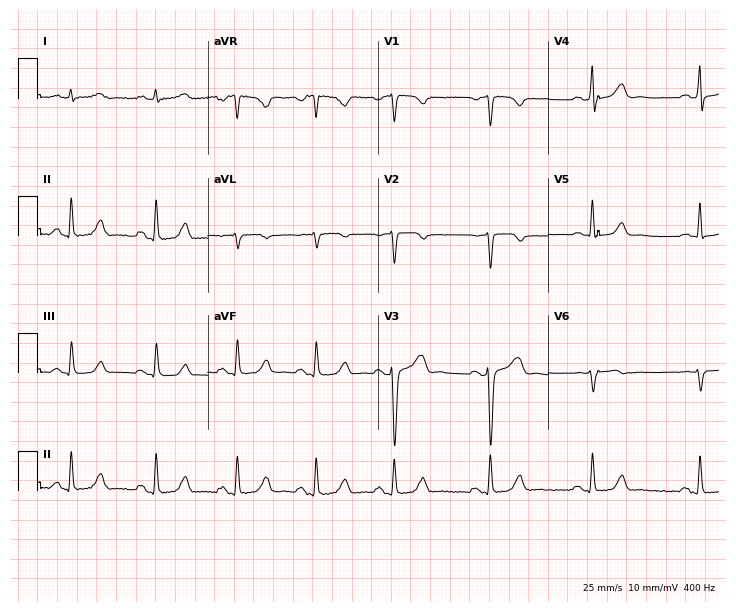
ECG — a male, 49 years old. Screened for six findings — first-degree AV block, right bundle branch block (RBBB), left bundle branch block (LBBB), sinus bradycardia, atrial fibrillation (AF), sinus tachycardia — none is recorded.